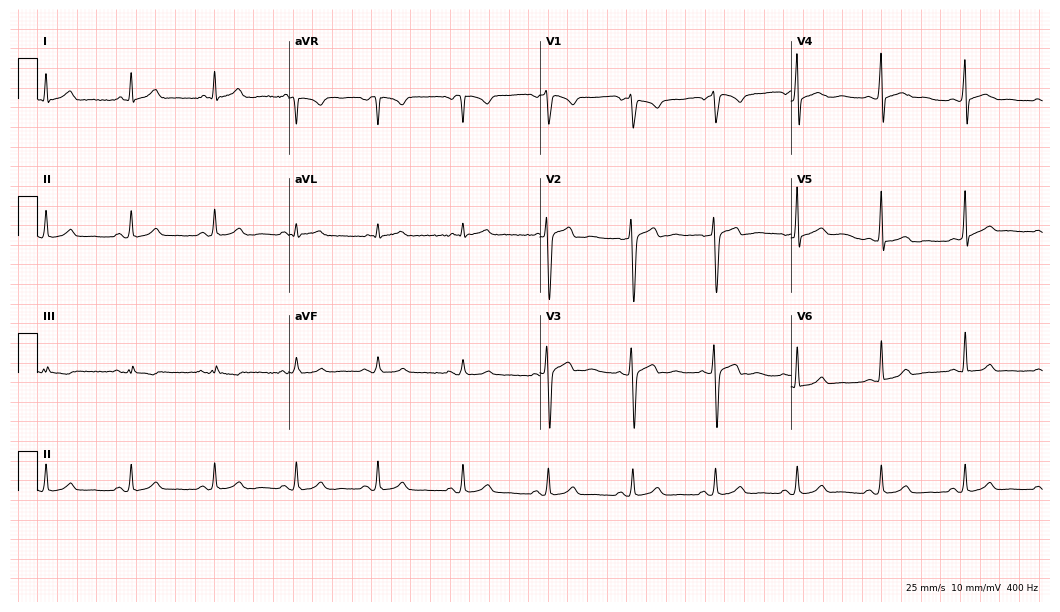
Standard 12-lead ECG recorded from a male, 31 years old (10.2-second recording at 400 Hz). None of these six findings is recorded: first-degree AV block, right bundle branch block (RBBB), left bundle branch block (LBBB), sinus bradycardia, atrial fibrillation (AF), sinus tachycardia.